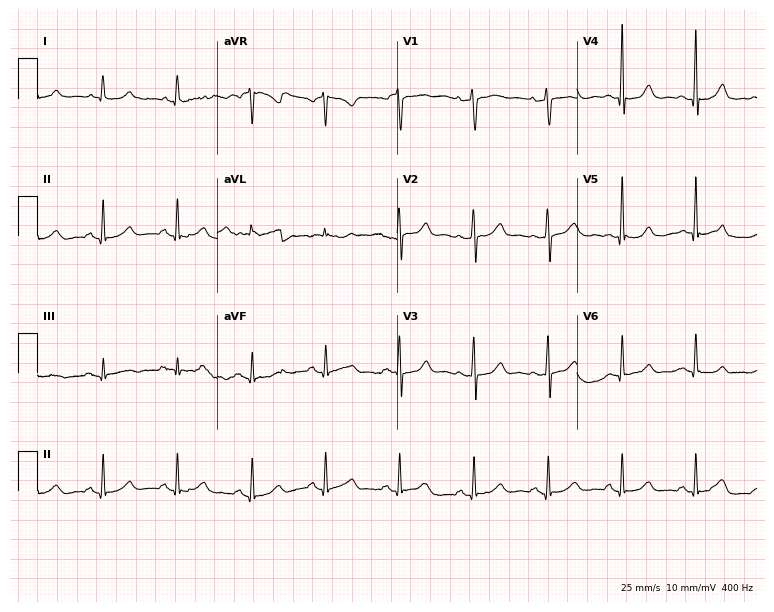
12-lead ECG from a woman, 59 years old. Labelled as a normal ECG.